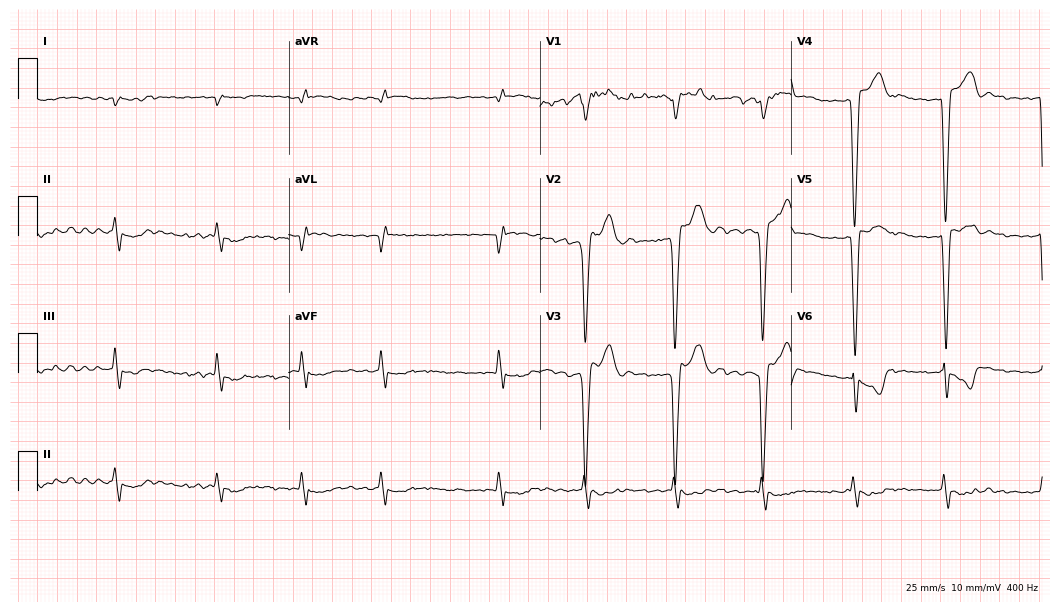
Standard 12-lead ECG recorded from an 85-year-old female. The tracing shows atrial fibrillation.